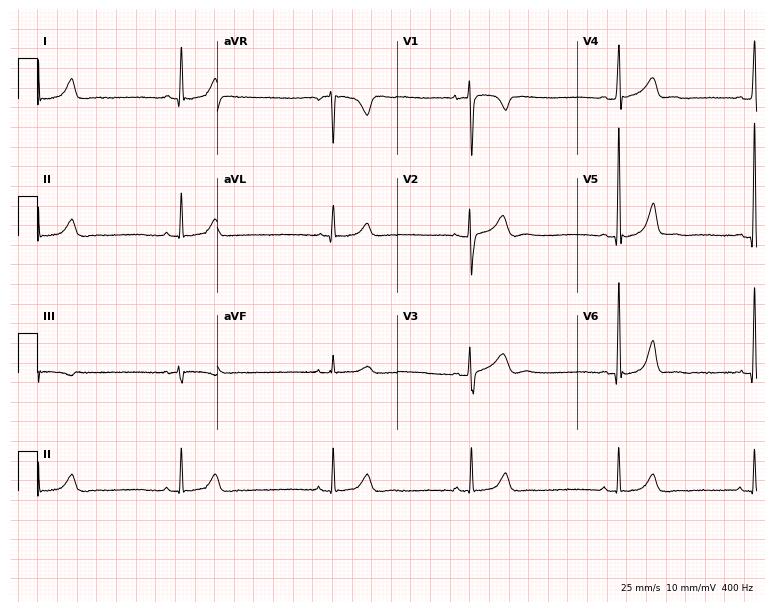
12-lead ECG from a 40-year-old female (7.3-second recording at 400 Hz). No first-degree AV block, right bundle branch block, left bundle branch block, sinus bradycardia, atrial fibrillation or sinus tachycardia recorded for this tracing.